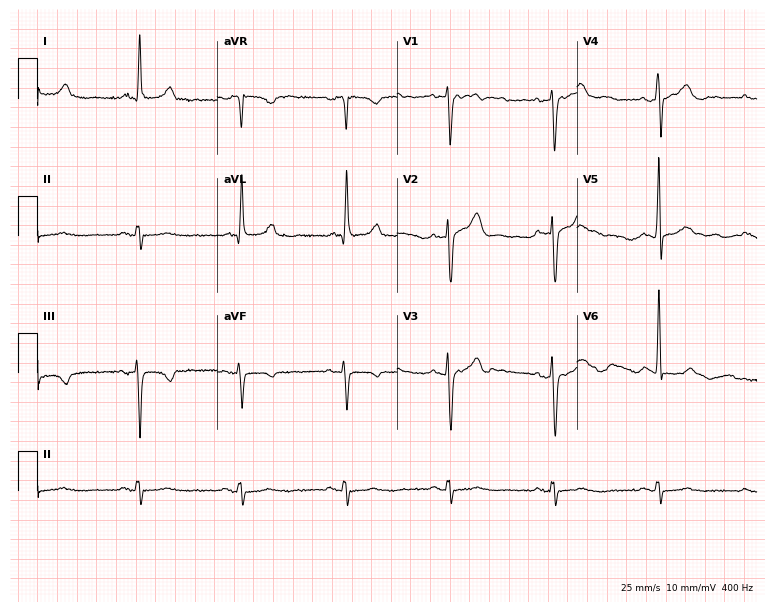
Resting 12-lead electrocardiogram (7.3-second recording at 400 Hz). Patient: a man, 78 years old. None of these six findings is recorded: first-degree AV block, right bundle branch block, left bundle branch block, sinus bradycardia, atrial fibrillation, sinus tachycardia. Findings outside these six are not listed.